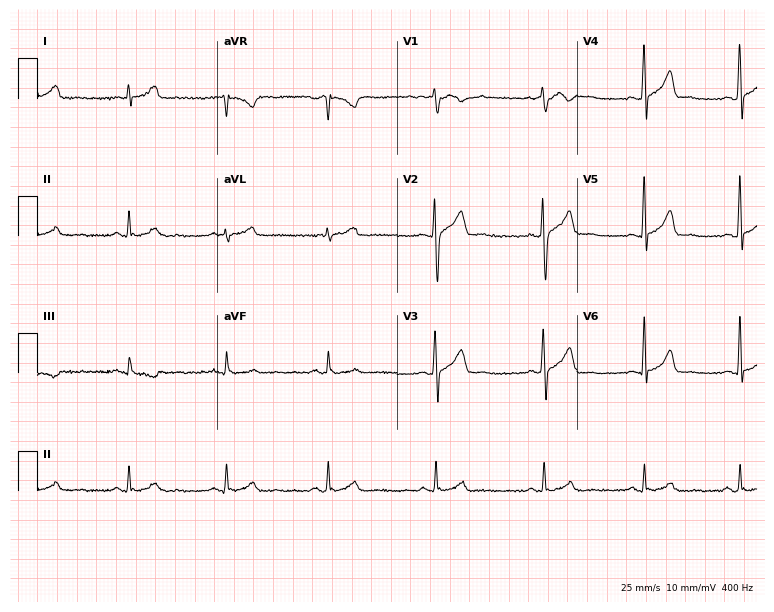
Resting 12-lead electrocardiogram. Patient: a 29-year-old male. Read as a normal ECG.